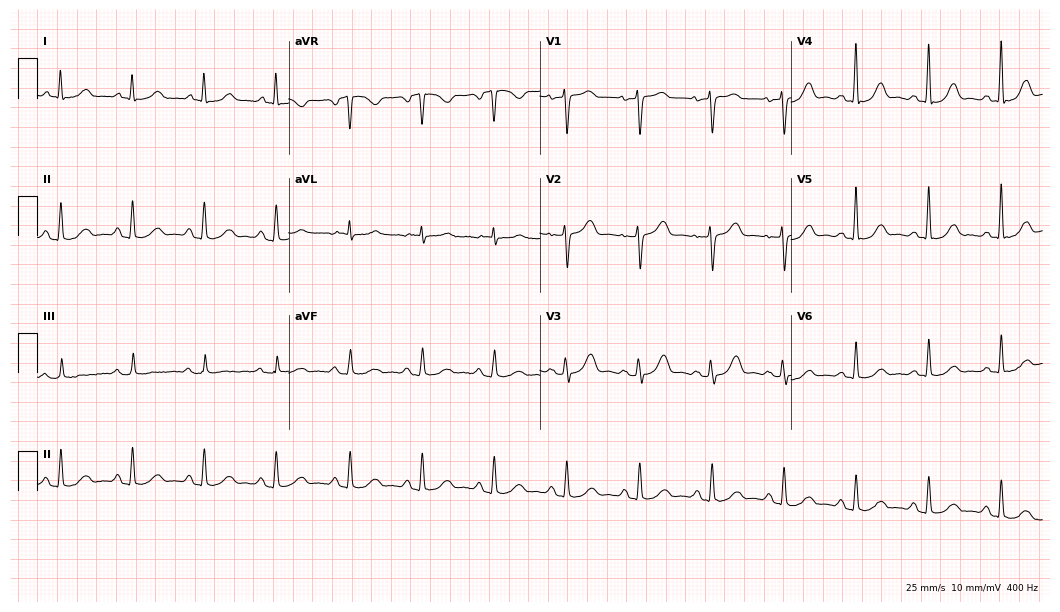
12-lead ECG (10.2-second recording at 400 Hz) from a 72-year-old woman. Screened for six findings — first-degree AV block, right bundle branch block, left bundle branch block, sinus bradycardia, atrial fibrillation, sinus tachycardia — none is recorded.